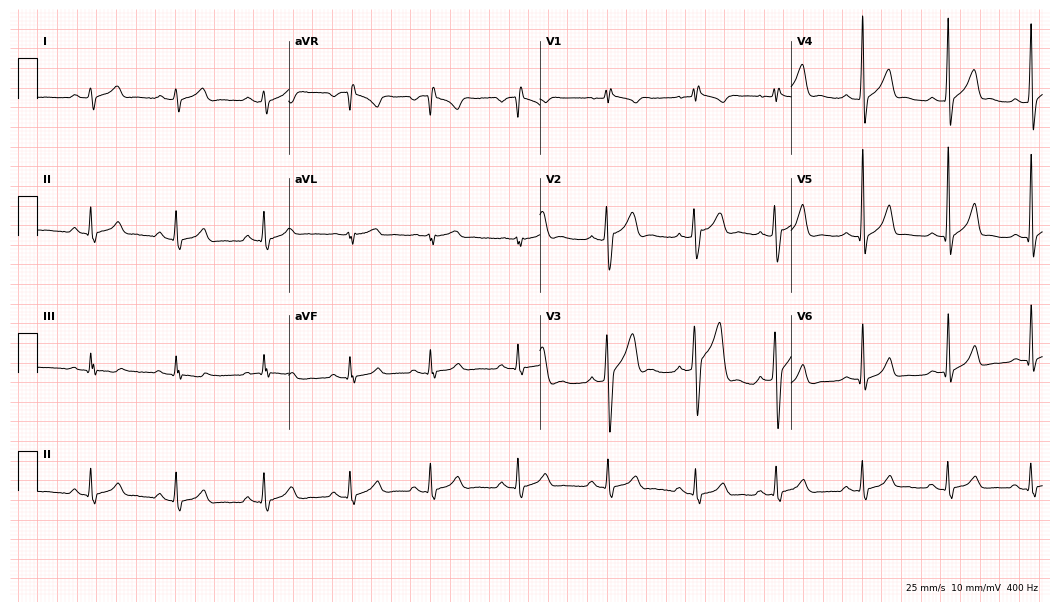
12-lead ECG from a 20-year-old man. No first-degree AV block, right bundle branch block, left bundle branch block, sinus bradycardia, atrial fibrillation or sinus tachycardia recorded for this tracing. Only these six findings were labelled.